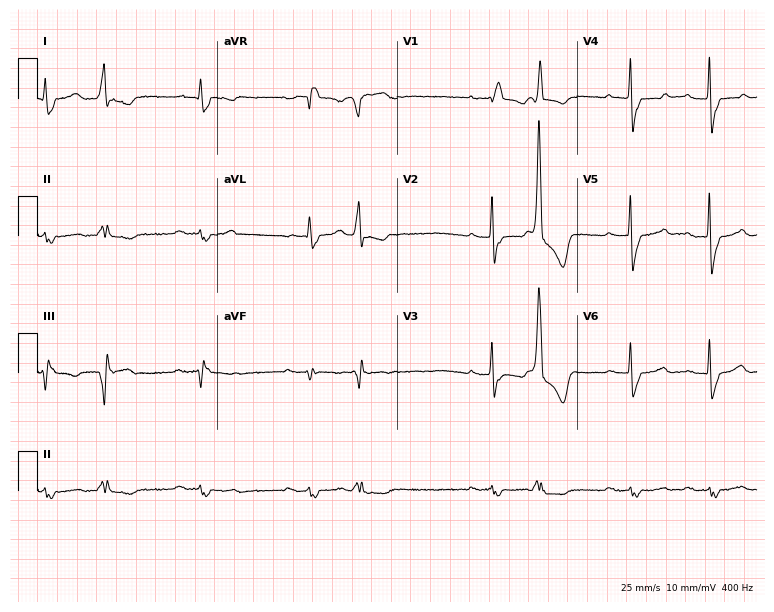
12-lead ECG from an 85-year-old male (7.3-second recording at 400 Hz). Shows first-degree AV block, right bundle branch block.